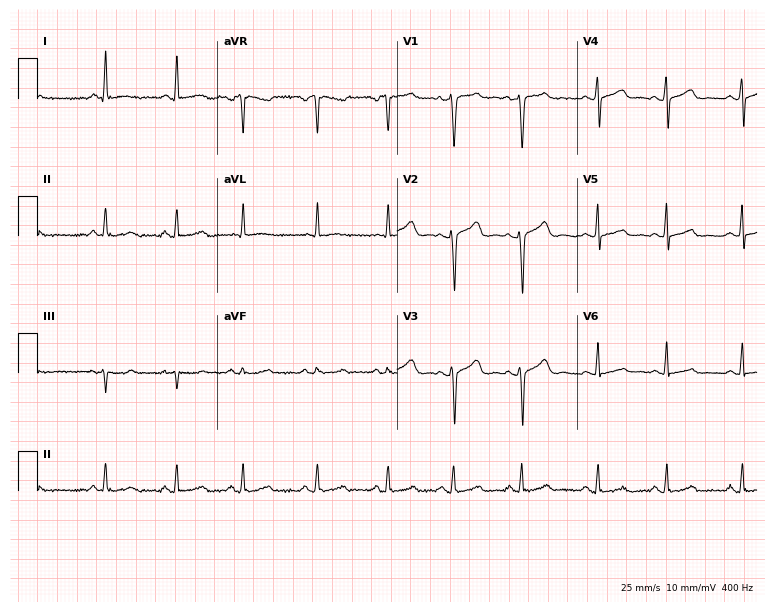
Standard 12-lead ECG recorded from a female patient, 26 years old. None of these six findings is recorded: first-degree AV block, right bundle branch block (RBBB), left bundle branch block (LBBB), sinus bradycardia, atrial fibrillation (AF), sinus tachycardia.